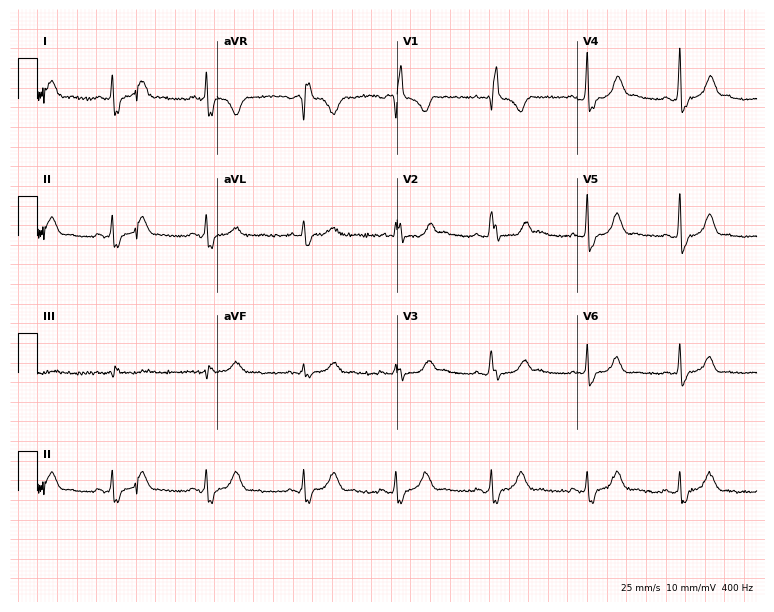
ECG (7.3-second recording at 400 Hz) — a 38-year-old woman. Findings include right bundle branch block.